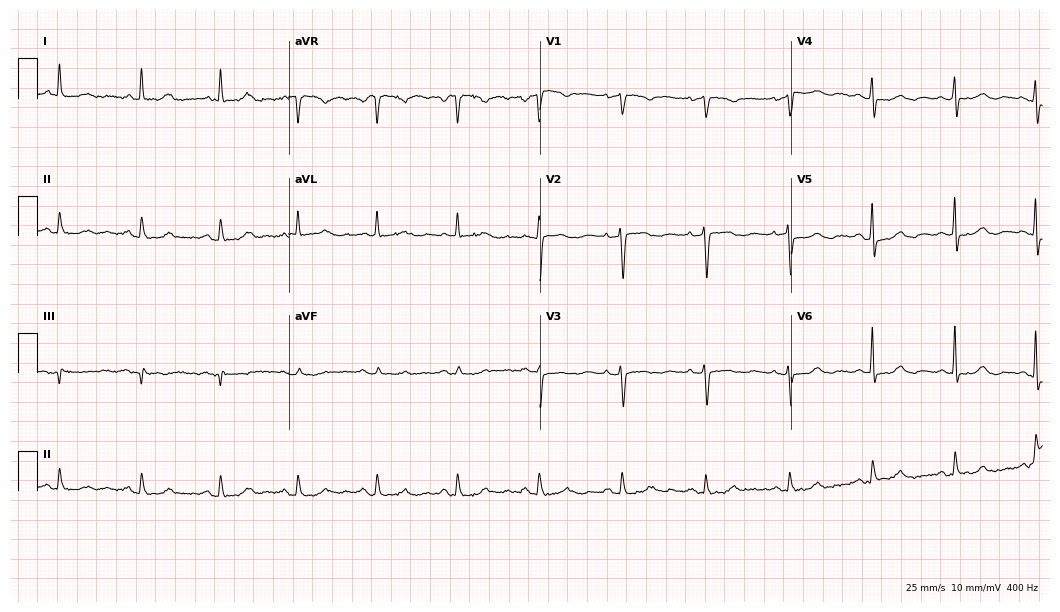
Electrocardiogram, a woman, 76 years old. Overall reading on record: normal ECG.